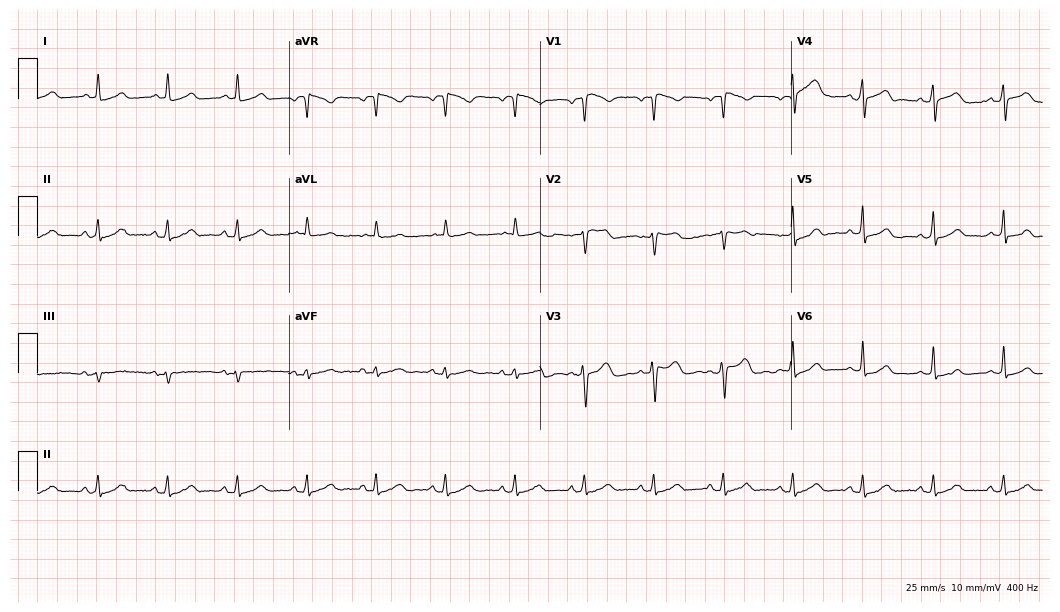
Standard 12-lead ECG recorded from a 67-year-old female (10.2-second recording at 400 Hz). Read as a normal ECG.